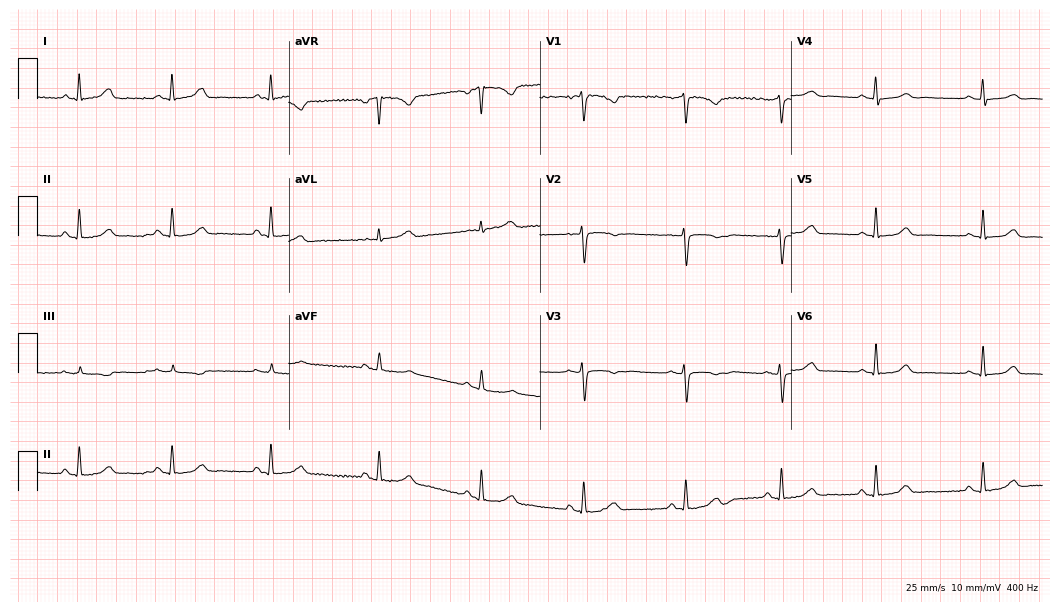
Standard 12-lead ECG recorded from a female, 35 years old (10.2-second recording at 400 Hz). Read as a normal ECG.